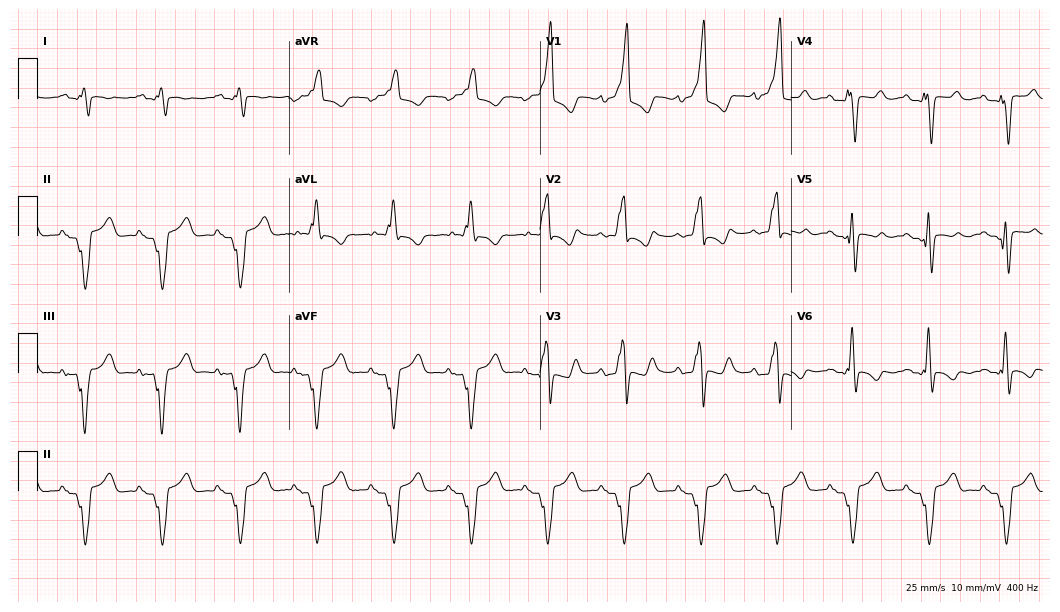
Resting 12-lead electrocardiogram (10.2-second recording at 400 Hz). Patient: a man, 60 years old. None of these six findings is recorded: first-degree AV block, right bundle branch block, left bundle branch block, sinus bradycardia, atrial fibrillation, sinus tachycardia.